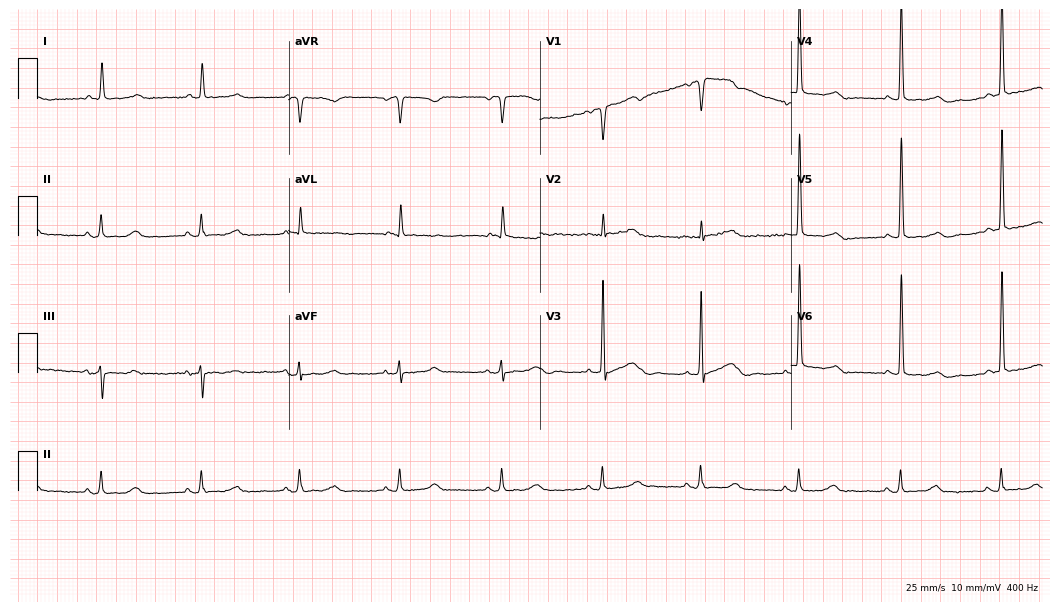
Resting 12-lead electrocardiogram. Patient: a female, 78 years old. Read as a normal ECG.